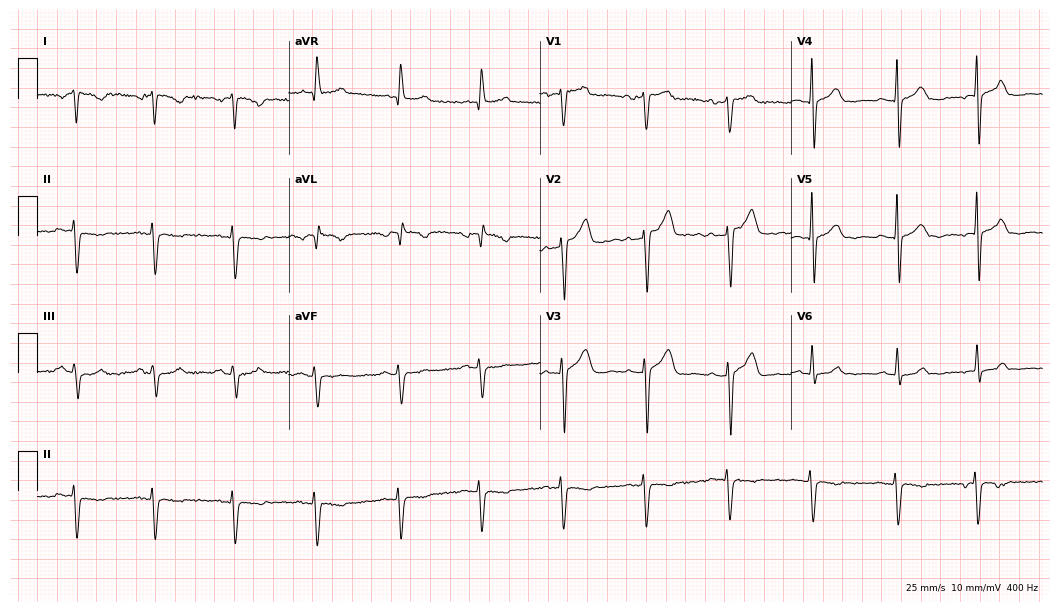
12-lead ECG (10.2-second recording at 400 Hz) from a male, 56 years old. Screened for six findings — first-degree AV block, right bundle branch block (RBBB), left bundle branch block (LBBB), sinus bradycardia, atrial fibrillation (AF), sinus tachycardia — none is recorded. Other findings, if any, are not listed.